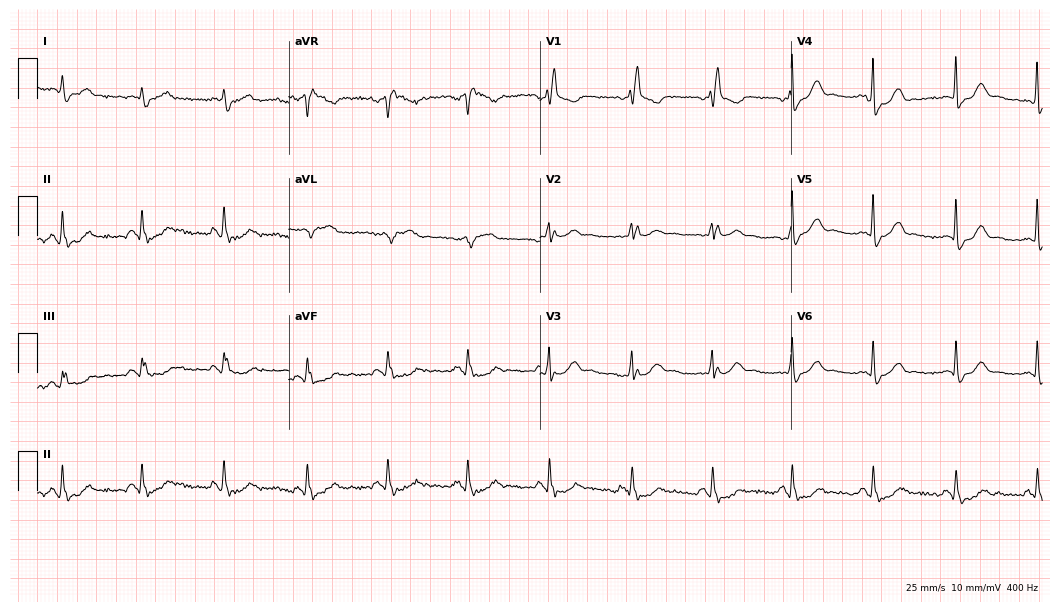
12-lead ECG from a 52-year-old male patient. Screened for six findings — first-degree AV block, right bundle branch block, left bundle branch block, sinus bradycardia, atrial fibrillation, sinus tachycardia — none is recorded. Other findings, if any, are not listed.